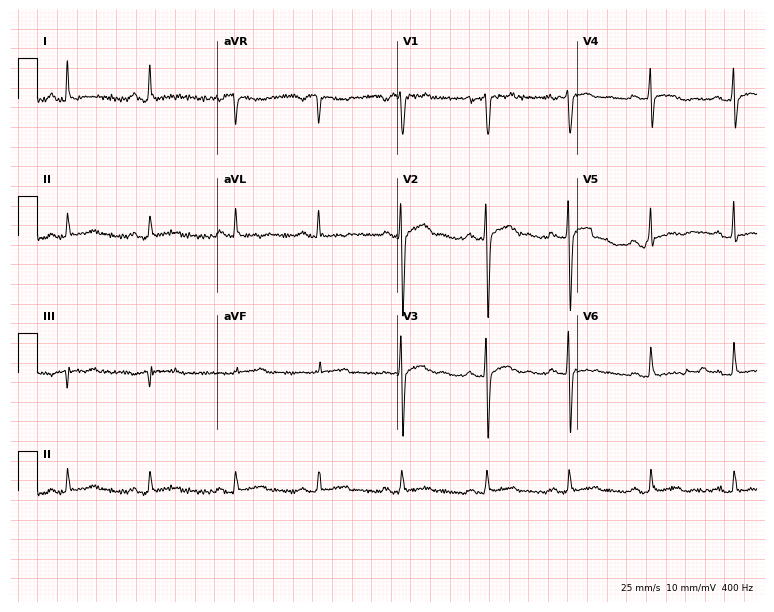
12-lead ECG from a 34-year-old man. Screened for six findings — first-degree AV block, right bundle branch block (RBBB), left bundle branch block (LBBB), sinus bradycardia, atrial fibrillation (AF), sinus tachycardia — none is recorded.